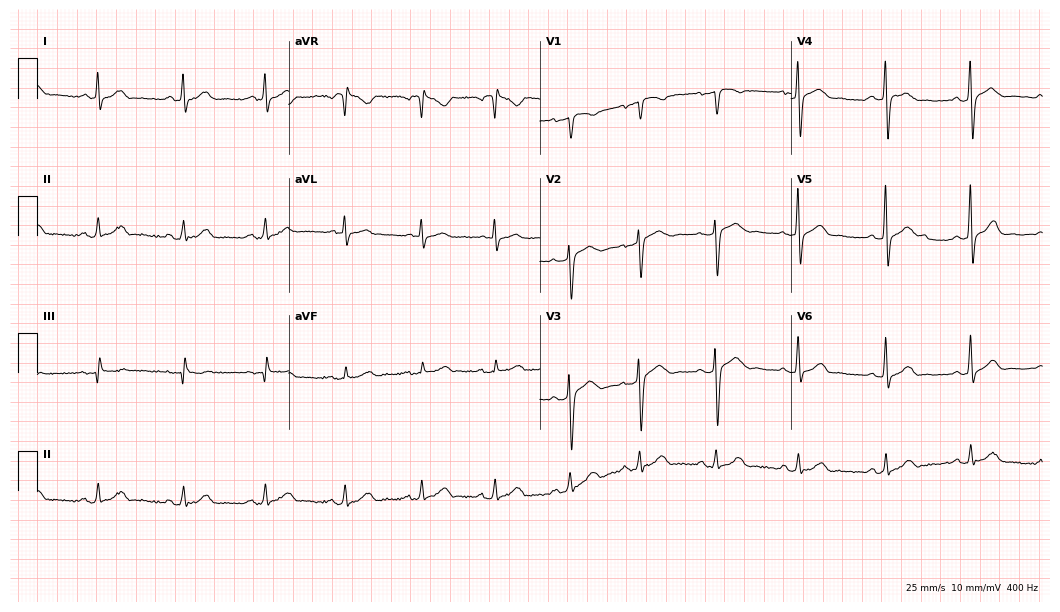
Electrocardiogram, a 40-year-old male patient. Overall reading on record: normal ECG.